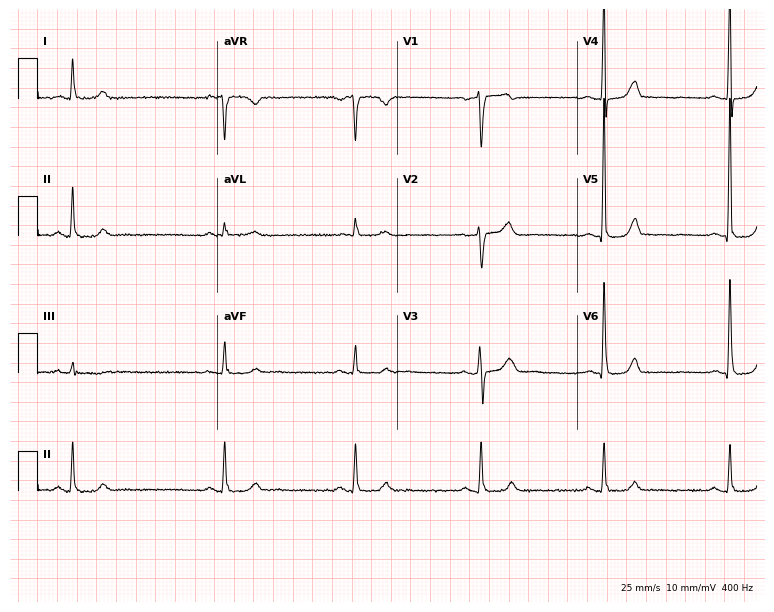
ECG (7.3-second recording at 400 Hz) — a male patient, 62 years old. Findings include sinus bradycardia (a sinus rate of 50 beats per minute or less).